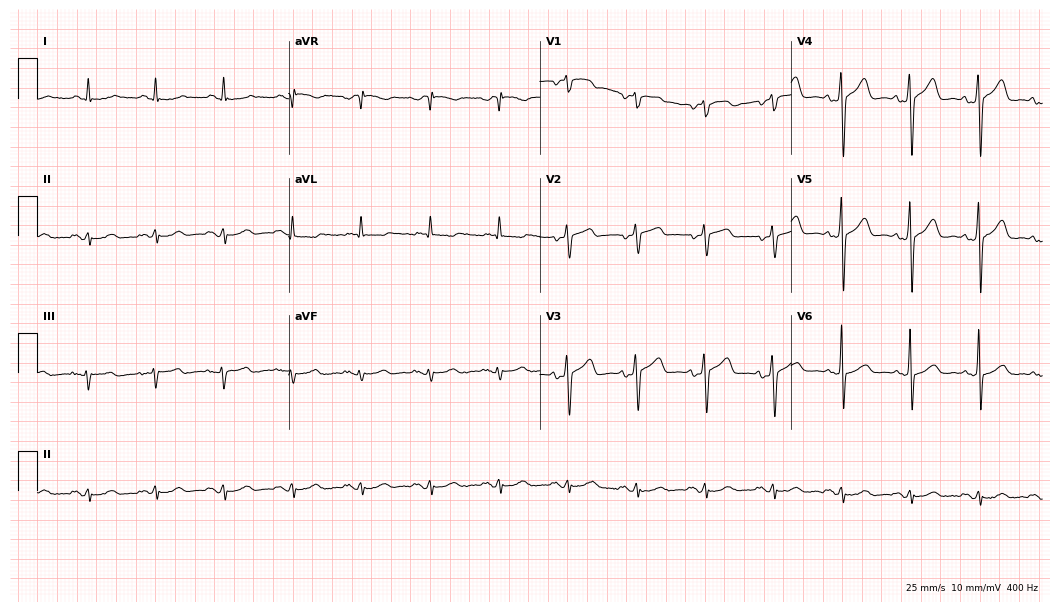
Standard 12-lead ECG recorded from a male patient, 67 years old (10.2-second recording at 400 Hz). Read as a normal ECG.